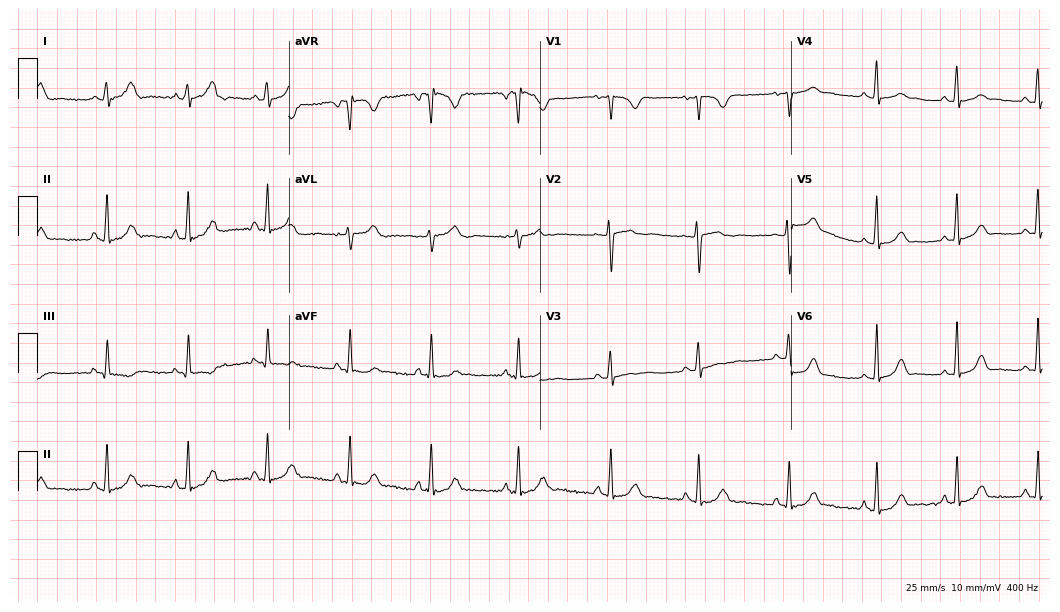
12-lead ECG from a female patient, 22 years old. Recorded interpretation: within normal limits.